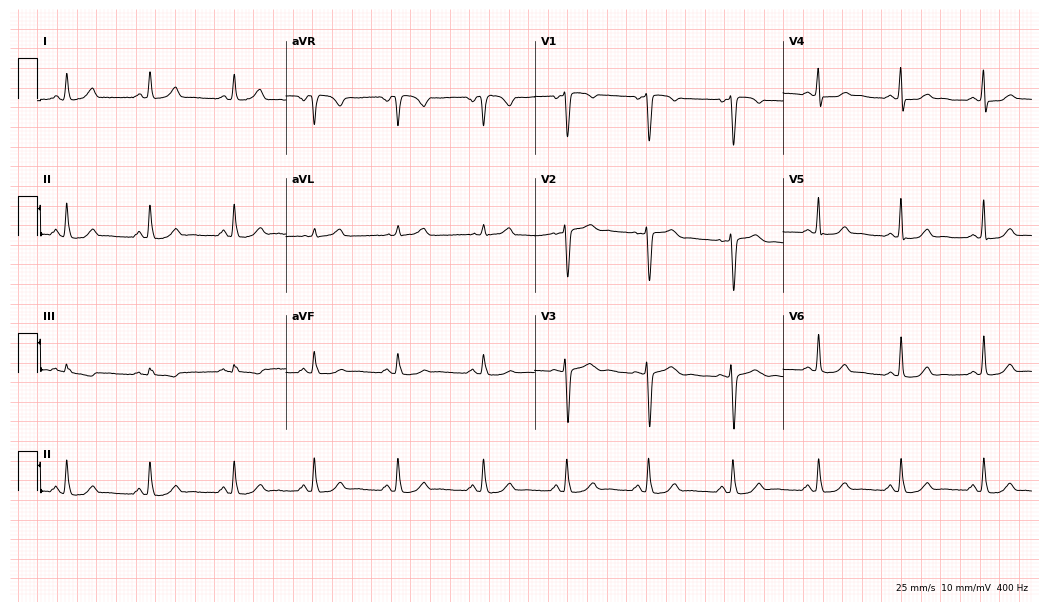
Resting 12-lead electrocardiogram. Patient: a woman, 43 years old. Read as a normal ECG.